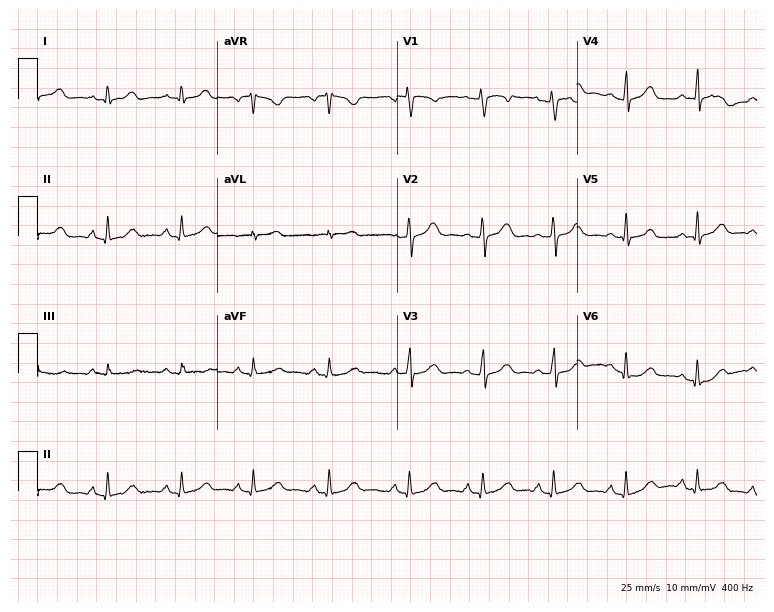
12-lead ECG from a female patient, 21 years old (7.3-second recording at 400 Hz). No first-degree AV block, right bundle branch block (RBBB), left bundle branch block (LBBB), sinus bradycardia, atrial fibrillation (AF) or sinus tachycardia recorded for this tracing. Other findings, if any, are not listed.